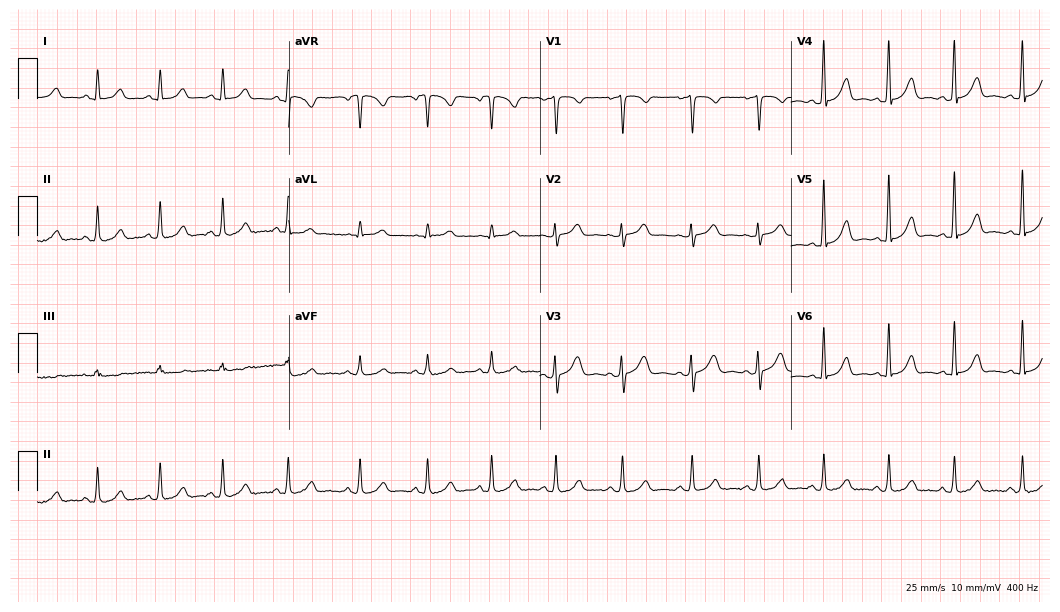
12-lead ECG (10.2-second recording at 400 Hz) from a 22-year-old female patient. Labelled as a normal ECG.